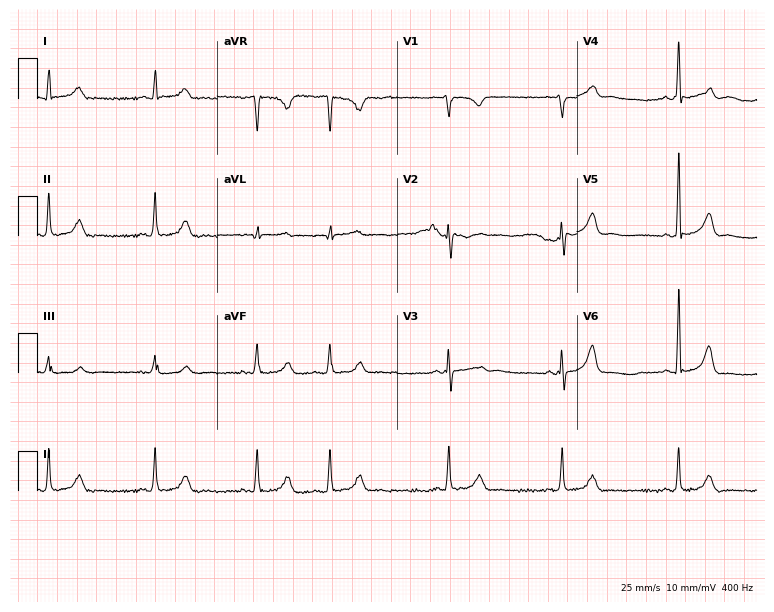
12-lead ECG from a 39-year-old female patient (7.3-second recording at 400 Hz). Recorded interpretation: within normal limits.